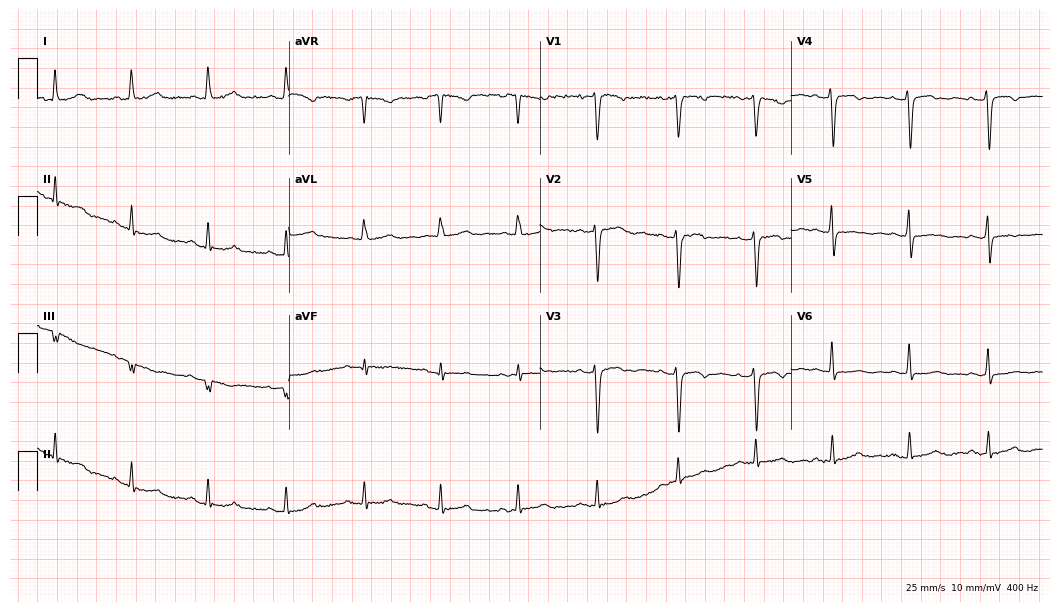
Electrocardiogram, a female, 52 years old. Of the six screened findings (first-degree AV block, right bundle branch block (RBBB), left bundle branch block (LBBB), sinus bradycardia, atrial fibrillation (AF), sinus tachycardia), none is recorded.